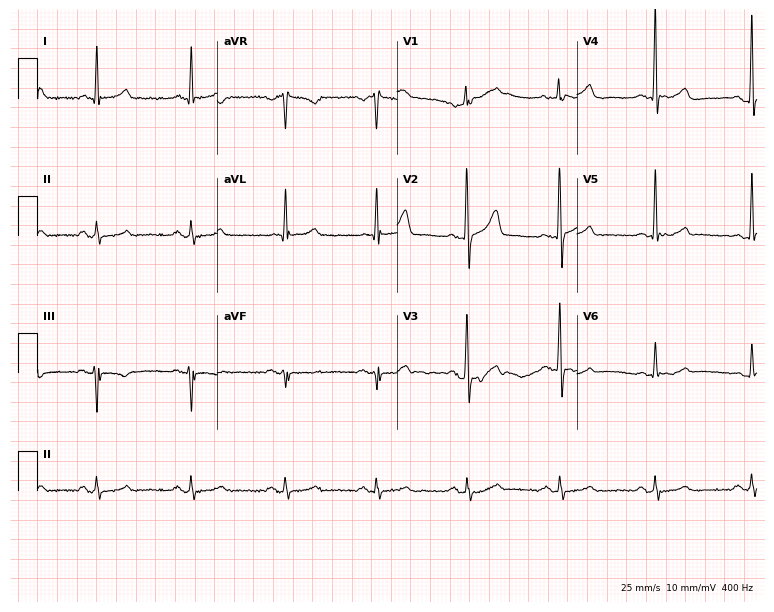
Electrocardiogram, a man, 58 years old. Overall reading on record: normal ECG.